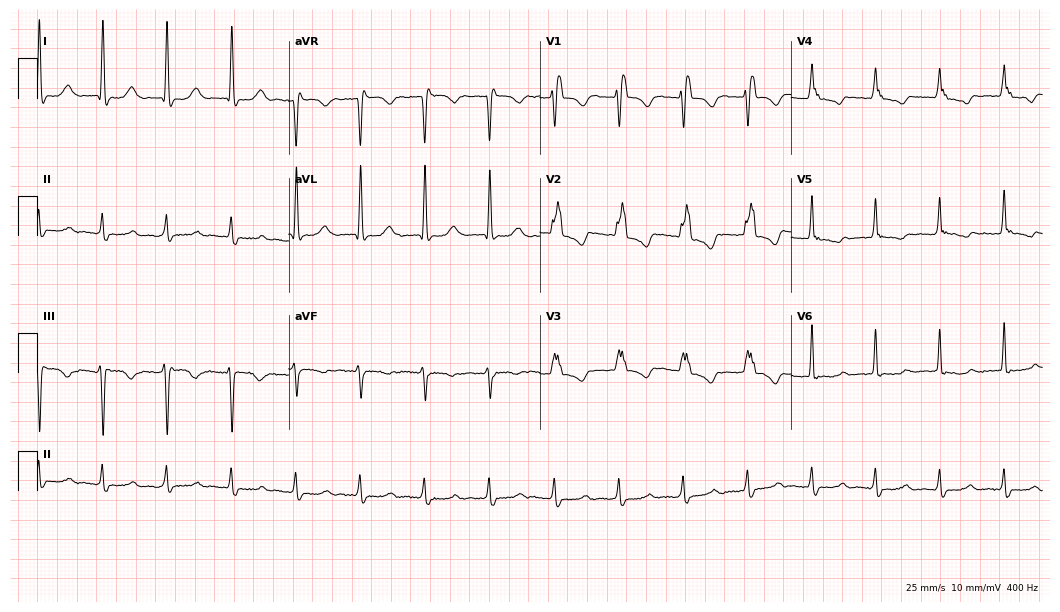
ECG — a 45-year-old female patient. Screened for six findings — first-degree AV block, right bundle branch block, left bundle branch block, sinus bradycardia, atrial fibrillation, sinus tachycardia — none is recorded. Only these six findings were labelled.